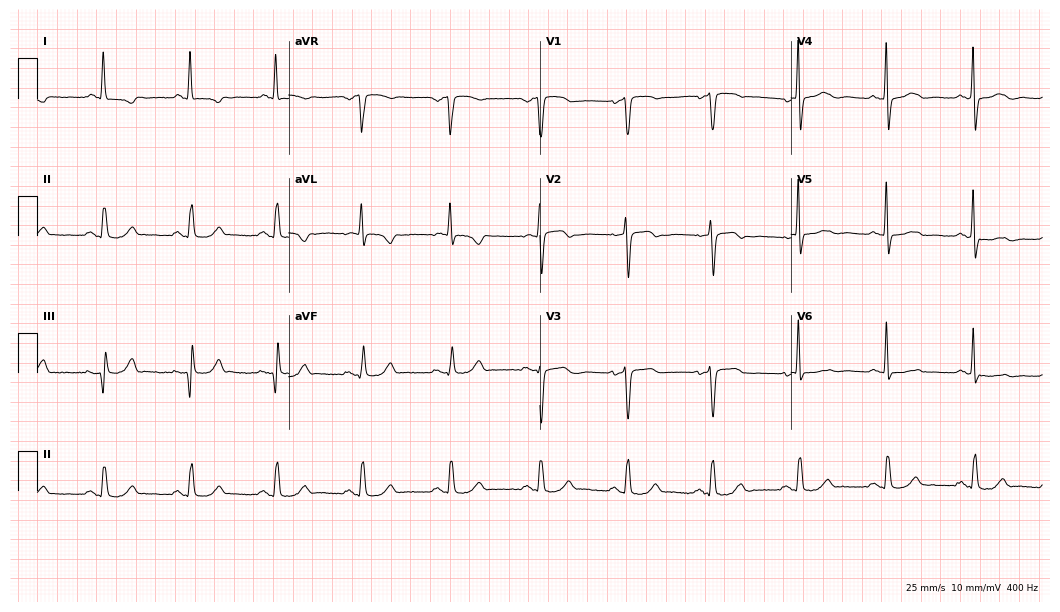
12-lead ECG (10.2-second recording at 400 Hz) from a 67-year-old female. Screened for six findings — first-degree AV block, right bundle branch block, left bundle branch block, sinus bradycardia, atrial fibrillation, sinus tachycardia — none is recorded.